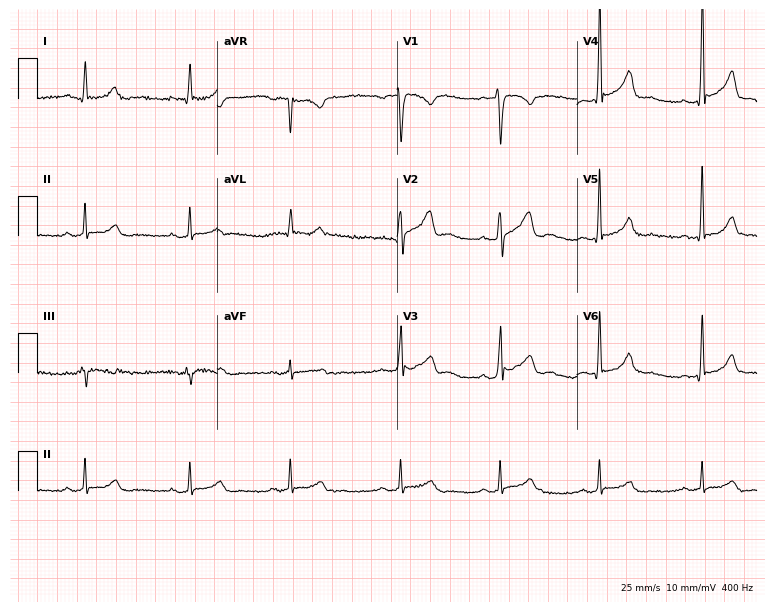
12-lead ECG (7.3-second recording at 400 Hz) from a 31-year-old man. Labelled as a normal ECG.